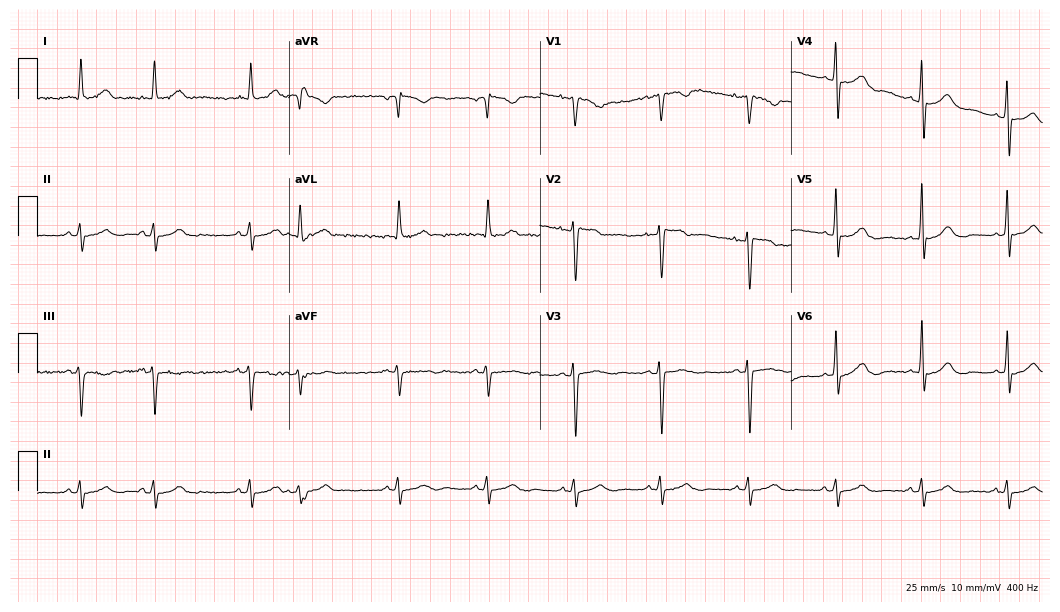
Electrocardiogram, a female patient, 68 years old. Of the six screened findings (first-degree AV block, right bundle branch block, left bundle branch block, sinus bradycardia, atrial fibrillation, sinus tachycardia), none is recorded.